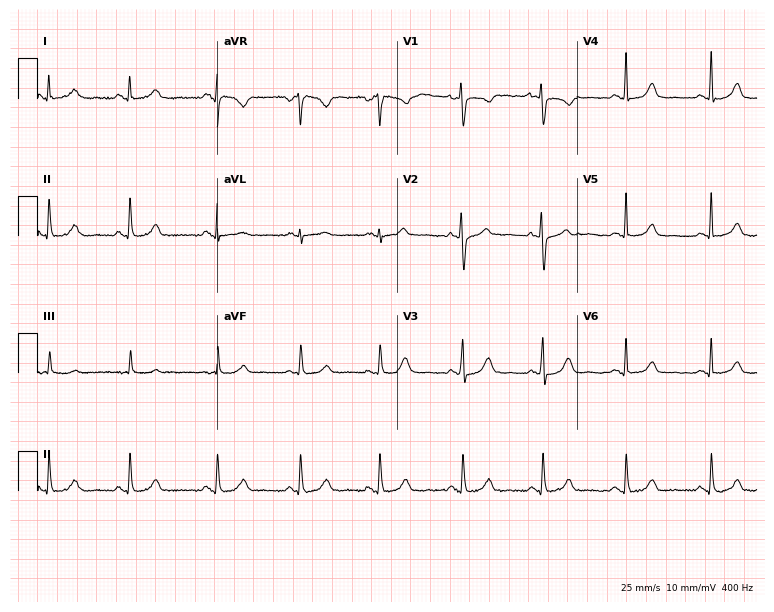
12-lead ECG from a female, 38 years old. Labelled as a normal ECG.